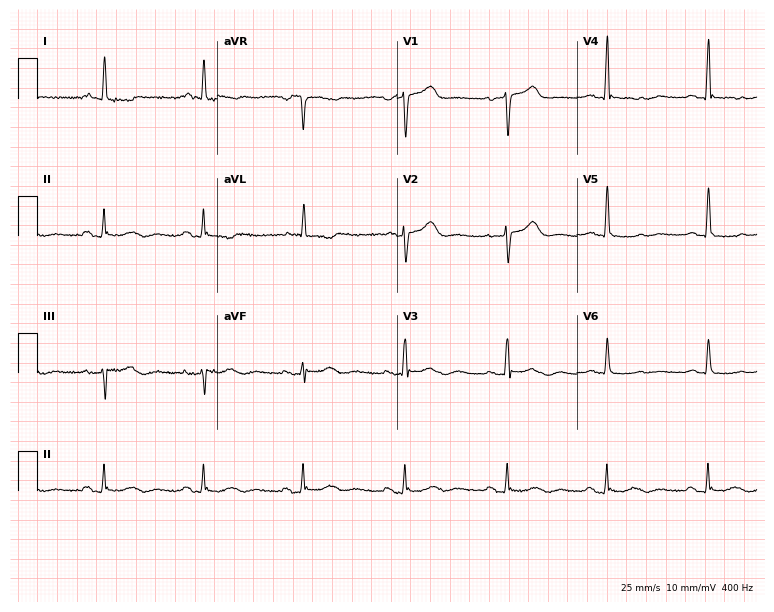
Standard 12-lead ECG recorded from a female, 73 years old. None of these six findings is recorded: first-degree AV block, right bundle branch block, left bundle branch block, sinus bradycardia, atrial fibrillation, sinus tachycardia.